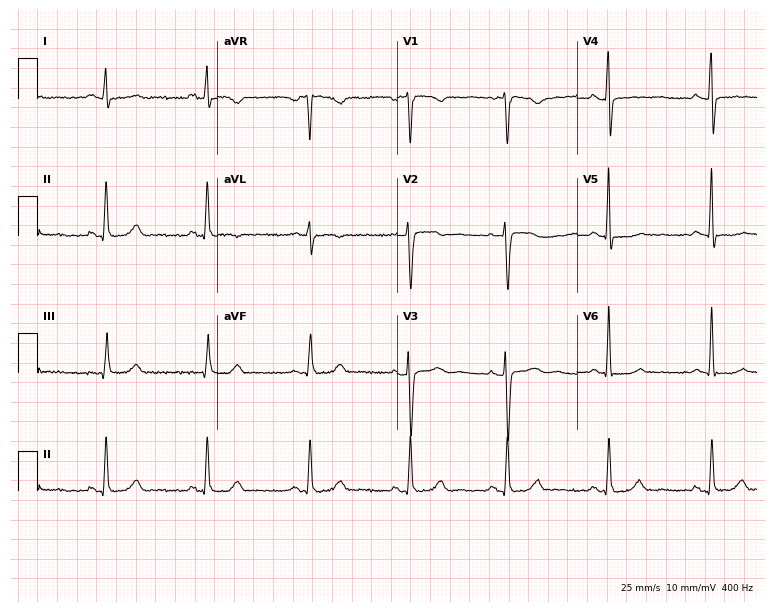
ECG — a 52-year-old female. Screened for six findings — first-degree AV block, right bundle branch block (RBBB), left bundle branch block (LBBB), sinus bradycardia, atrial fibrillation (AF), sinus tachycardia — none is recorded.